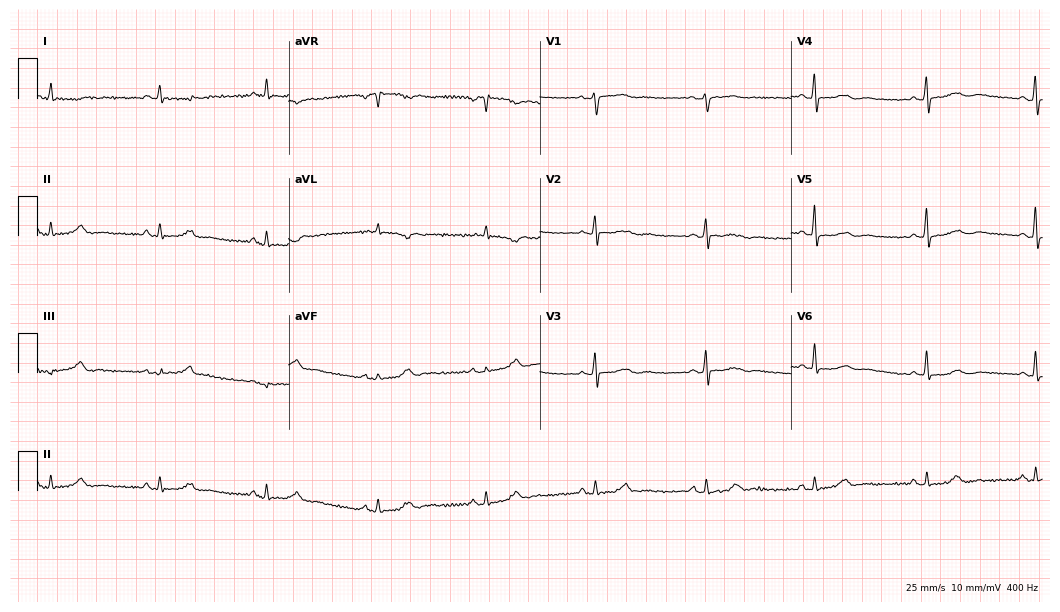
ECG — a female patient, 68 years old. Screened for six findings — first-degree AV block, right bundle branch block, left bundle branch block, sinus bradycardia, atrial fibrillation, sinus tachycardia — none is recorded. Other findings, if any, are not listed.